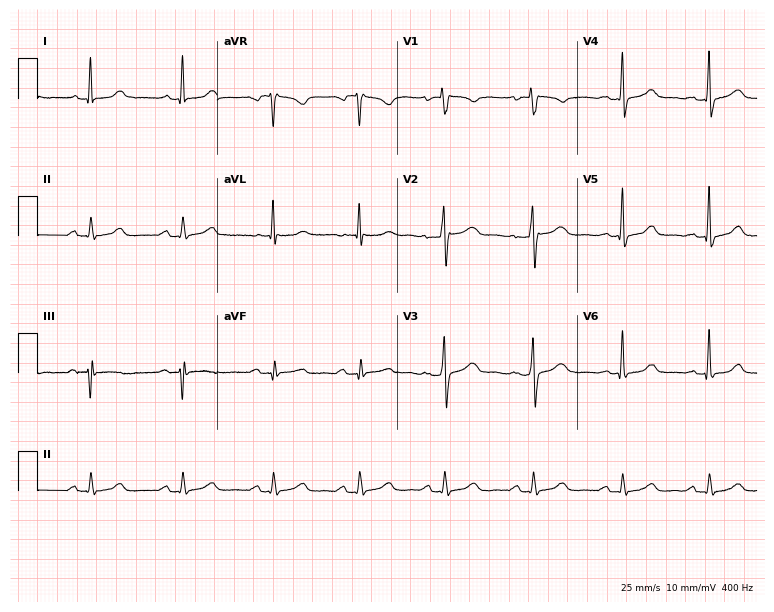
Standard 12-lead ECG recorded from a female, 48 years old (7.3-second recording at 400 Hz). Read as a normal ECG.